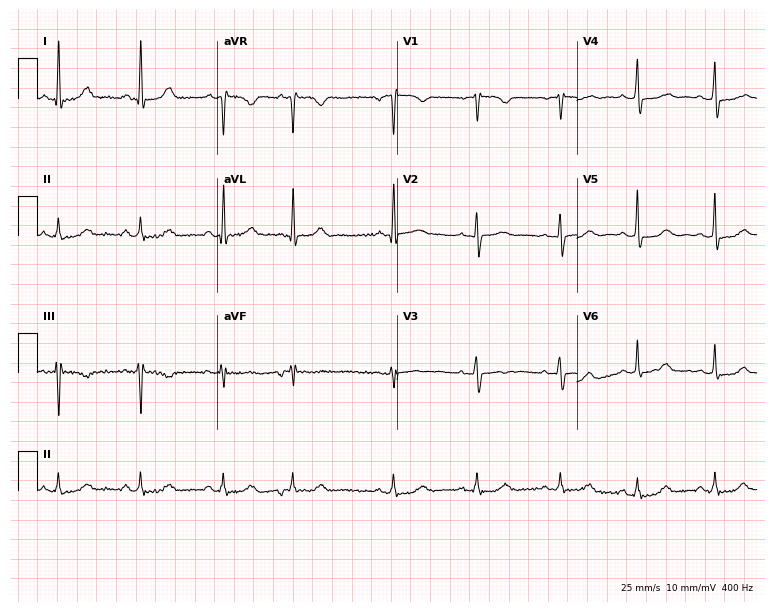
12-lead ECG from a 61-year-old woman (7.3-second recording at 400 Hz). No first-degree AV block, right bundle branch block, left bundle branch block, sinus bradycardia, atrial fibrillation or sinus tachycardia recorded for this tracing. Findings outside these six are not listed.